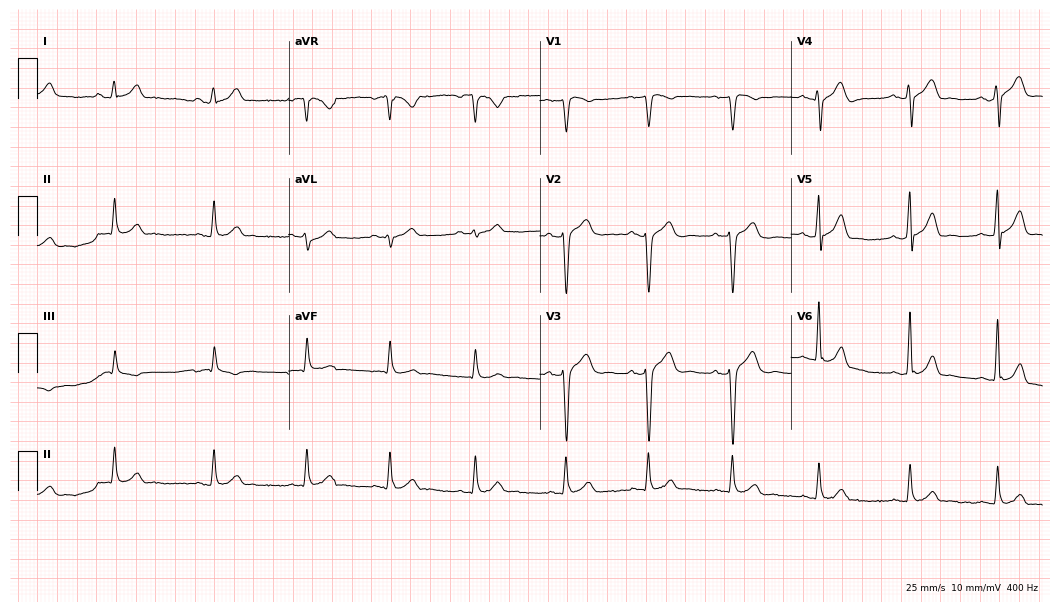
ECG (10.2-second recording at 400 Hz) — a man, 26 years old. Labelled as a normal ECG.